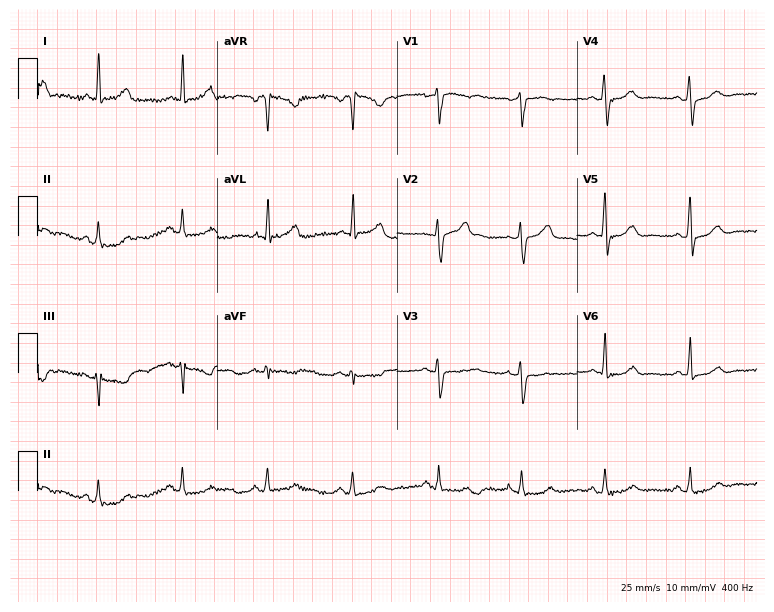
Electrocardiogram (7.3-second recording at 400 Hz), a 54-year-old female. Overall reading on record: normal ECG.